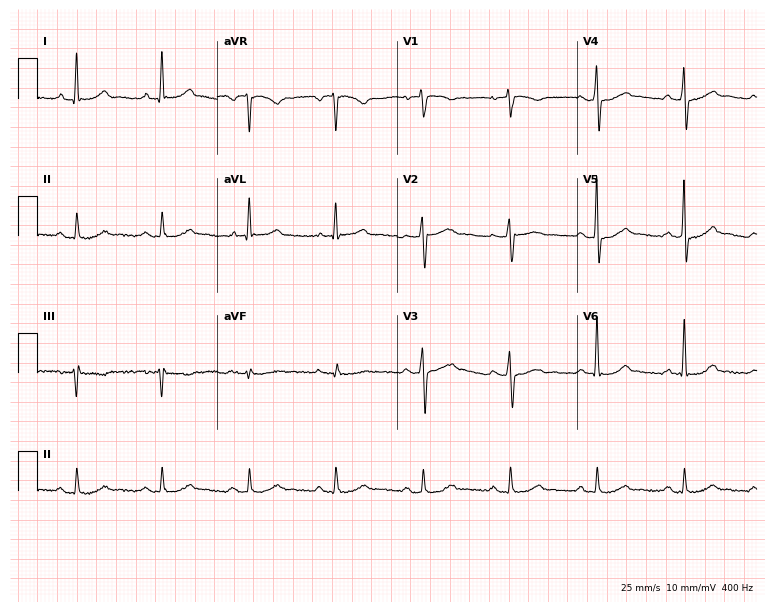
12-lead ECG from a male patient, 62 years old (7.3-second recording at 400 Hz). No first-degree AV block, right bundle branch block (RBBB), left bundle branch block (LBBB), sinus bradycardia, atrial fibrillation (AF) or sinus tachycardia recorded for this tracing. Other findings, if any, are not listed.